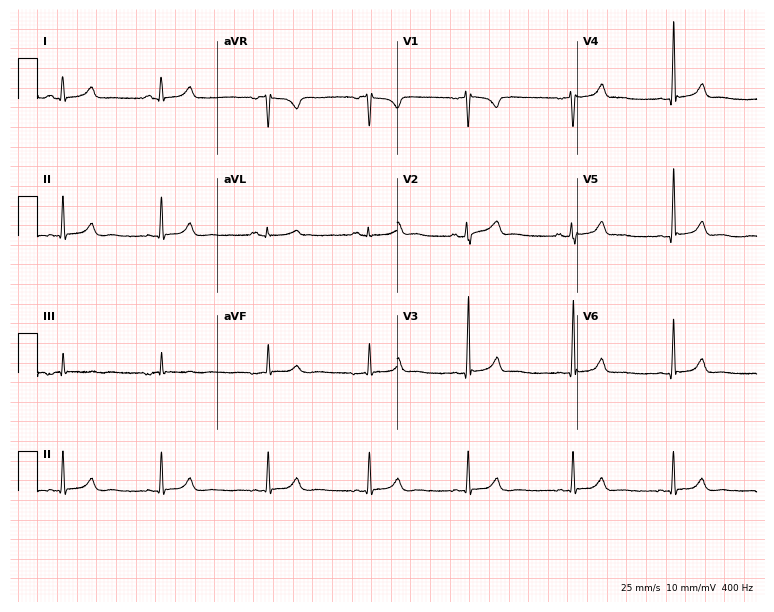
Standard 12-lead ECG recorded from a woman, 23 years old. Read as a normal ECG.